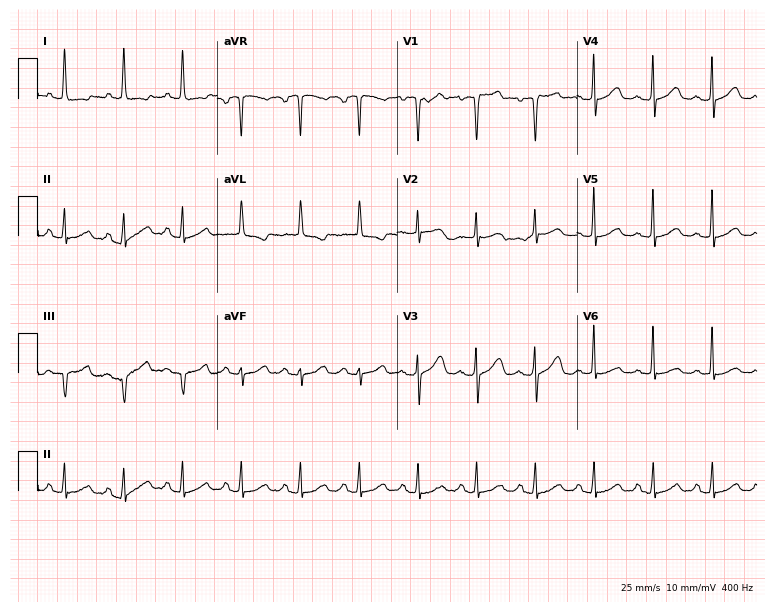
Resting 12-lead electrocardiogram. Patient: a female, 71 years old. Read as a normal ECG.